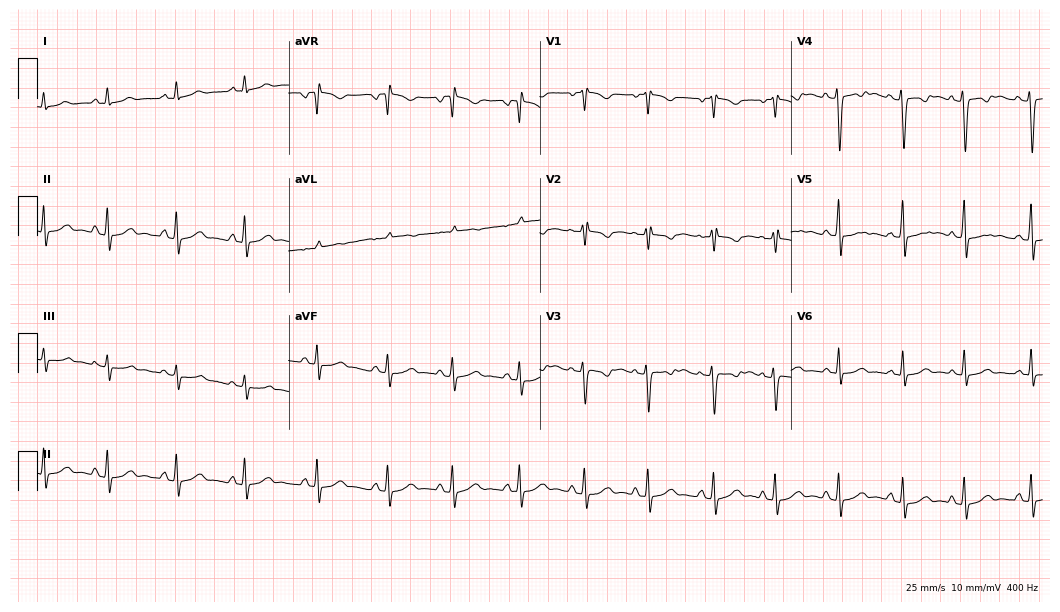
Resting 12-lead electrocardiogram (10.2-second recording at 400 Hz). Patient: an 18-year-old female. None of these six findings is recorded: first-degree AV block, right bundle branch block (RBBB), left bundle branch block (LBBB), sinus bradycardia, atrial fibrillation (AF), sinus tachycardia. Only these six findings were labelled.